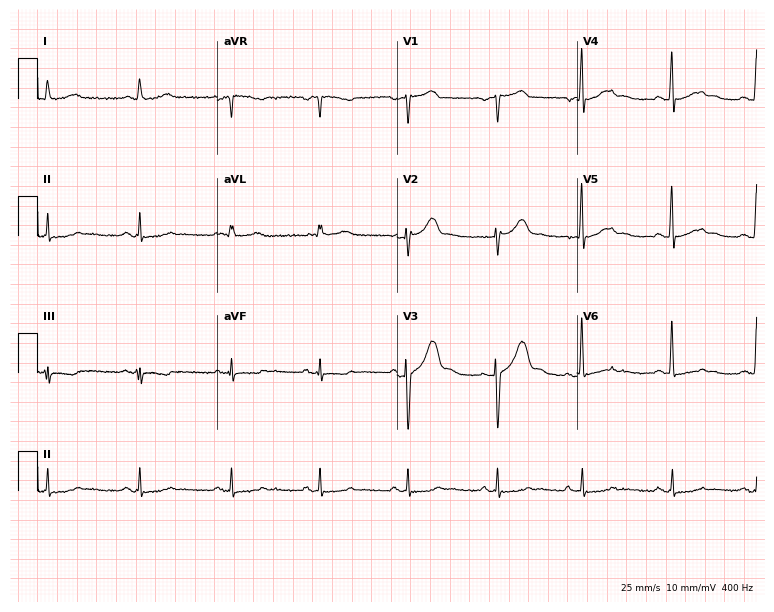
Resting 12-lead electrocardiogram. Patient: a 54-year-old woman. None of these six findings is recorded: first-degree AV block, right bundle branch block (RBBB), left bundle branch block (LBBB), sinus bradycardia, atrial fibrillation (AF), sinus tachycardia. Only these six findings were labelled.